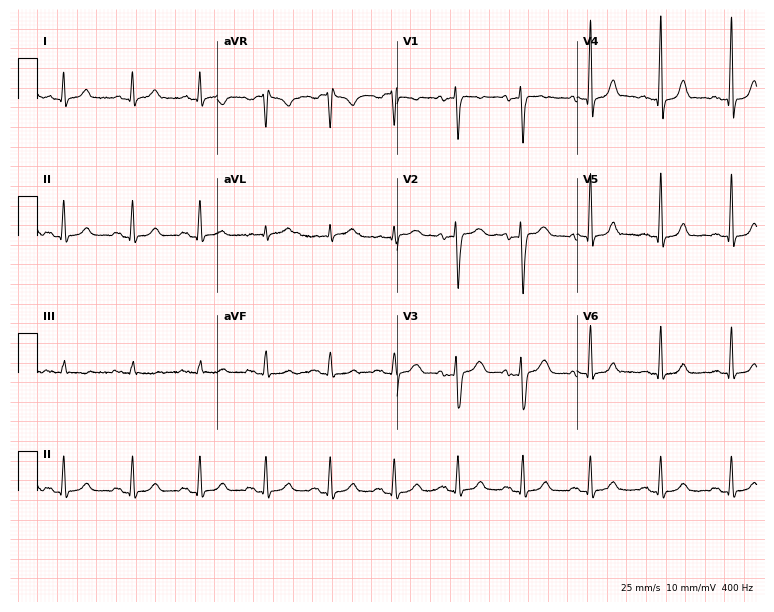
Standard 12-lead ECG recorded from a woman, 43 years old (7.3-second recording at 400 Hz). Read as a normal ECG.